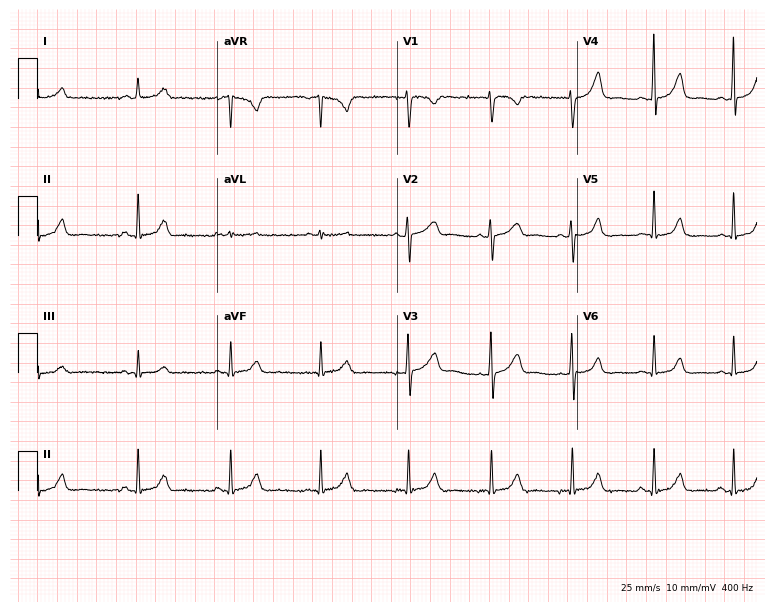
ECG (7.3-second recording at 400 Hz) — a 20-year-old female patient. Labelled as a normal ECG.